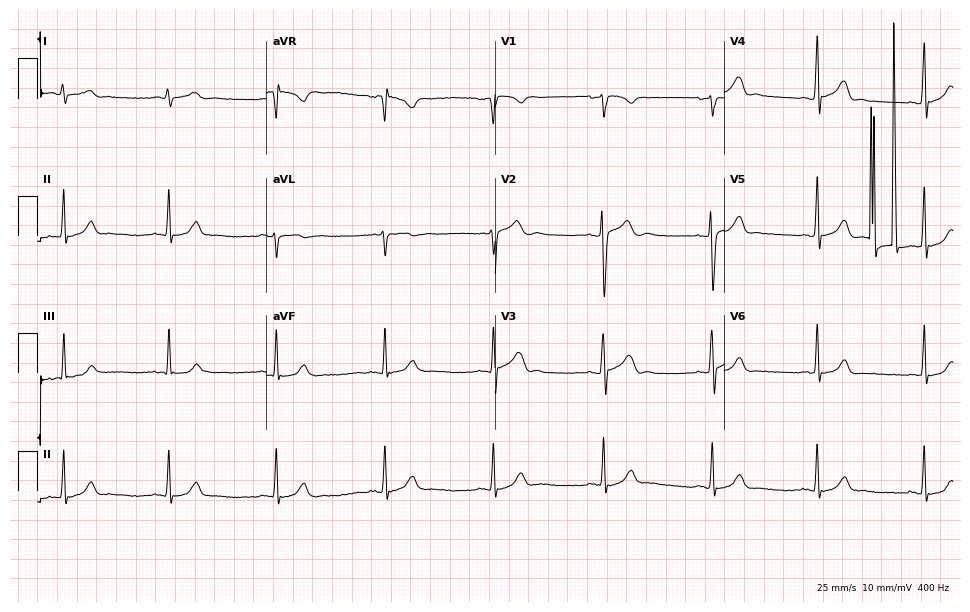
Electrocardiogram (9.3-second recording at 400 Hz), a 27-year-old male patient. Overall reading on record: normal ECG.